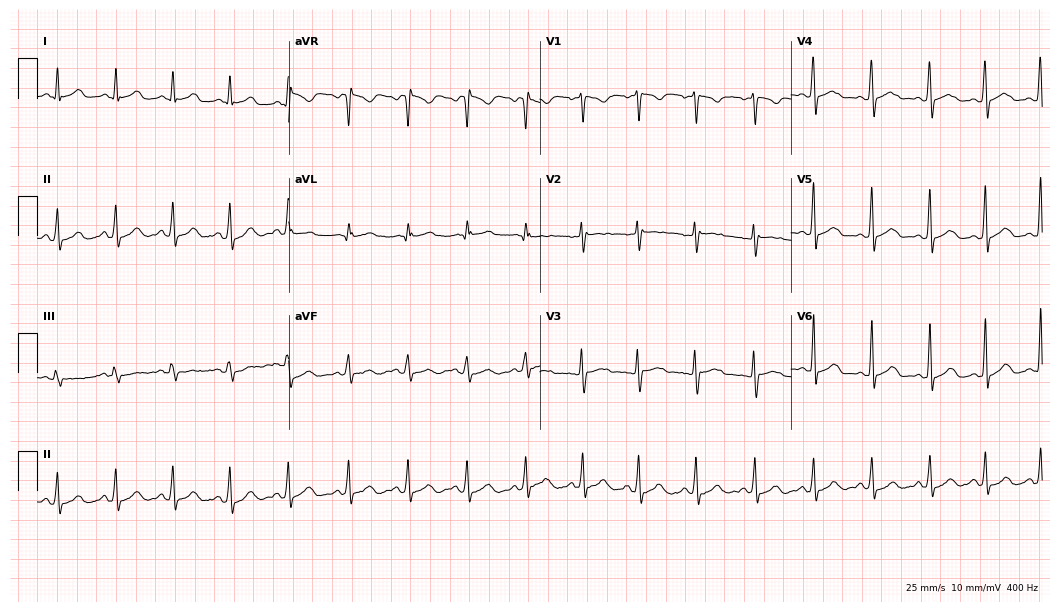
Resting 12-lead electrocardiogram. Patient: a 31-year-old female. The tracing shows sinus tachycardia (a sinus rate of 100 beats per minute or more).